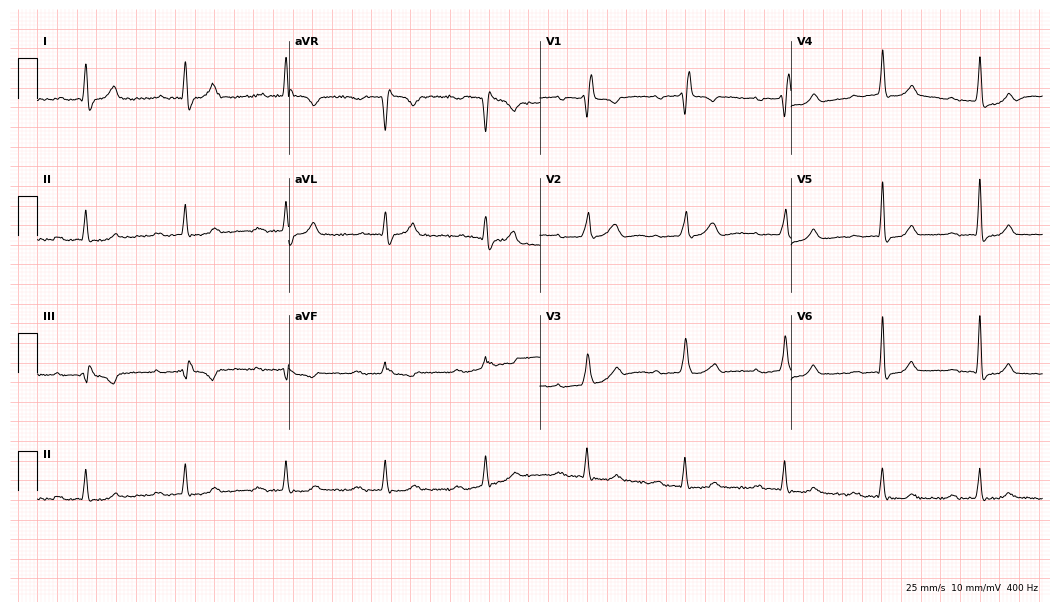
12-lead ECG (10.2-second recording at 400 Hz) from a 71-year-old male patient. Findings include first-degree AV block, right bundle branch block (RBBB).